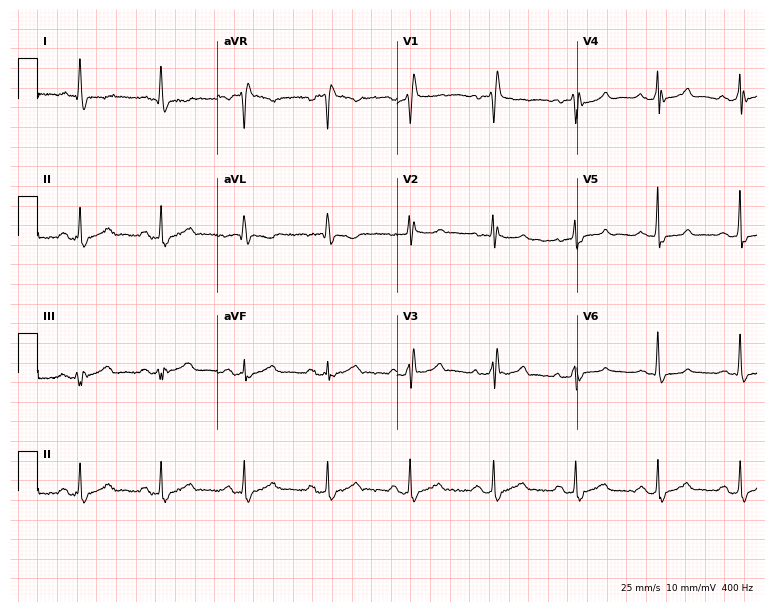
Resting 12-lead electrocardiogram (7.3-second recording at 400 Hz). Patient: a 64-year-old woman. None of these six findings is recorded: first-degree AV block, right bundle branch block, left bundle branch block, sinus bradycardia, atrial fibrillation, sinus tachycardia.